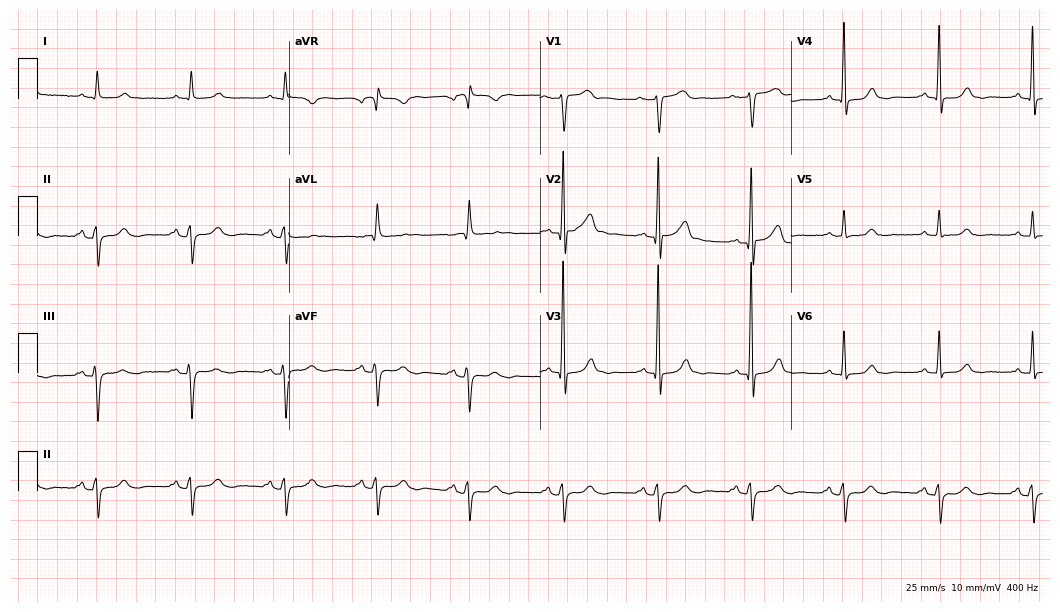
ECG — a male, 75 years old. Screened for six findings — first-degree AV block, right bundle branch block, left bundle branch block, sinus bradycardia, atrial fibrillation, sinus tachycardia — none is recorded.